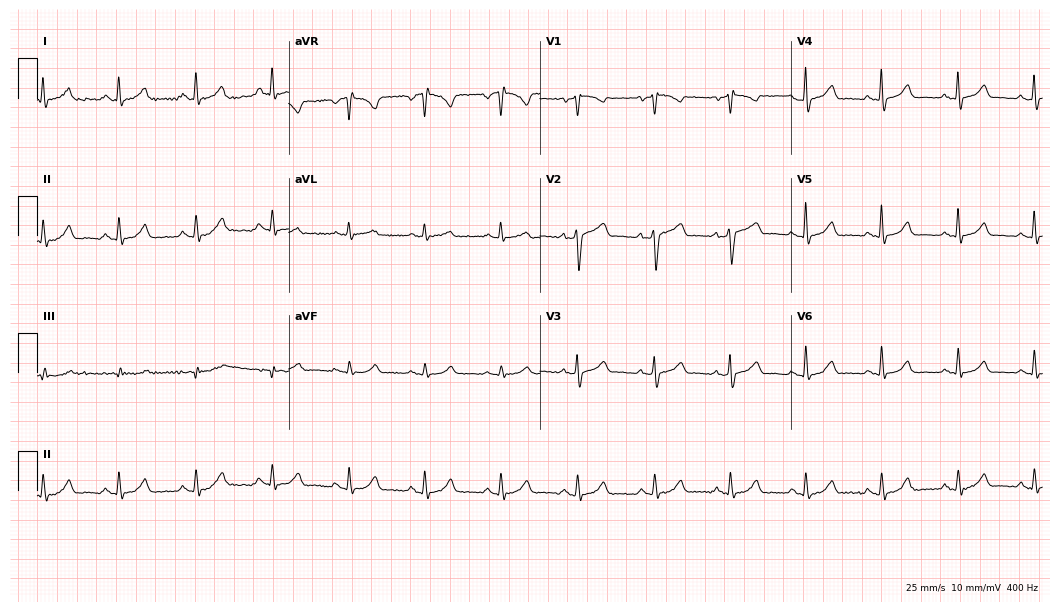
Electrocardiogram, a female patient, 71 years old. Overall reading on record: normal ECG.